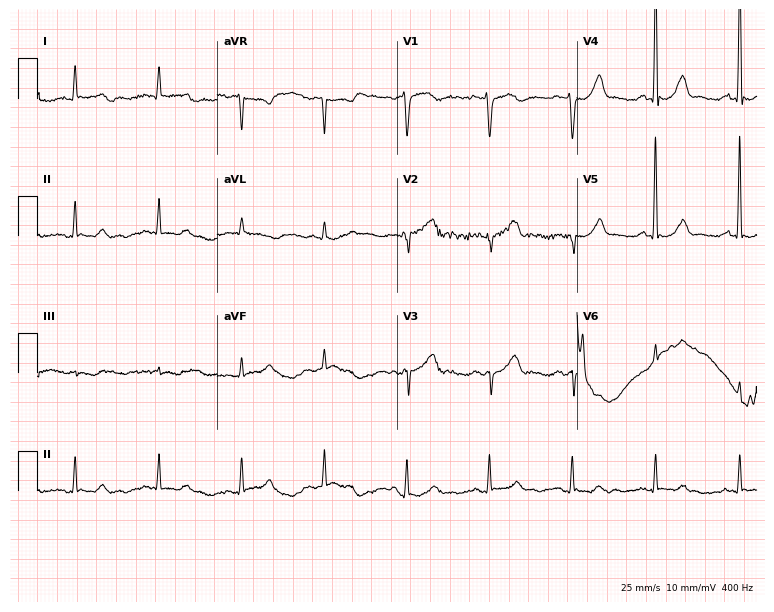
Standard 12-lead ECG recorded from a 71-year-old male. None of these six findings is recorded: first-degree AV block, right bundle branch block (RBBB), left bundle branch block (LBBB), sinus bradycardia, atrial fibrillation (AF), sinus tachycardia. Other findings, if any, are not listed.